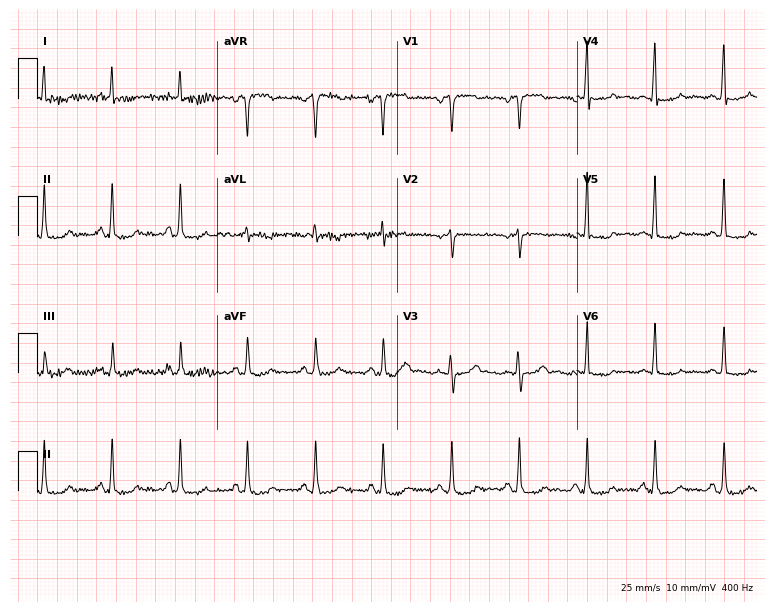
Standard 12-lead ECG recorded from a 72-year-old male patient. Read as a normal ECG.